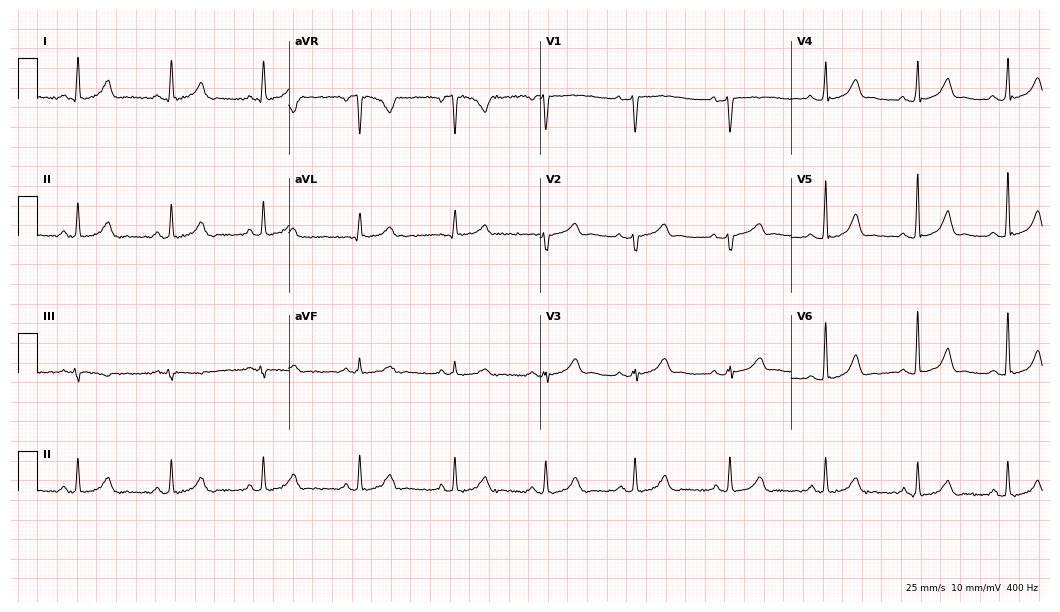
Standard 12-lead ECG recorded from a female patient, 48 years old. Read as a normal ECG.